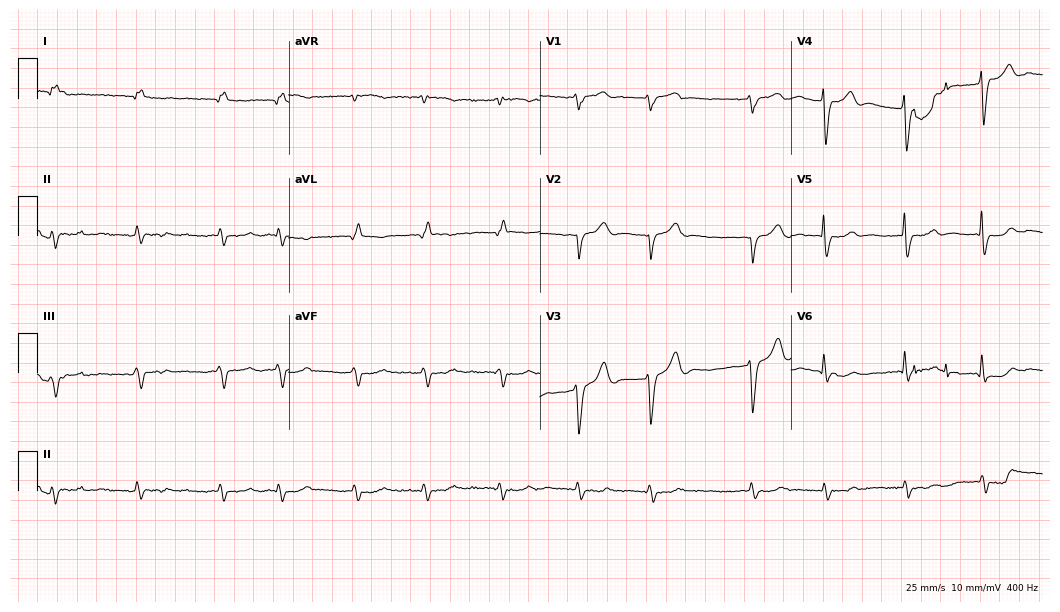
12-lead ECG (10.2-second recording at 400 Hz) from an 85-year-old male patient. Findings include atrial fibrillation.